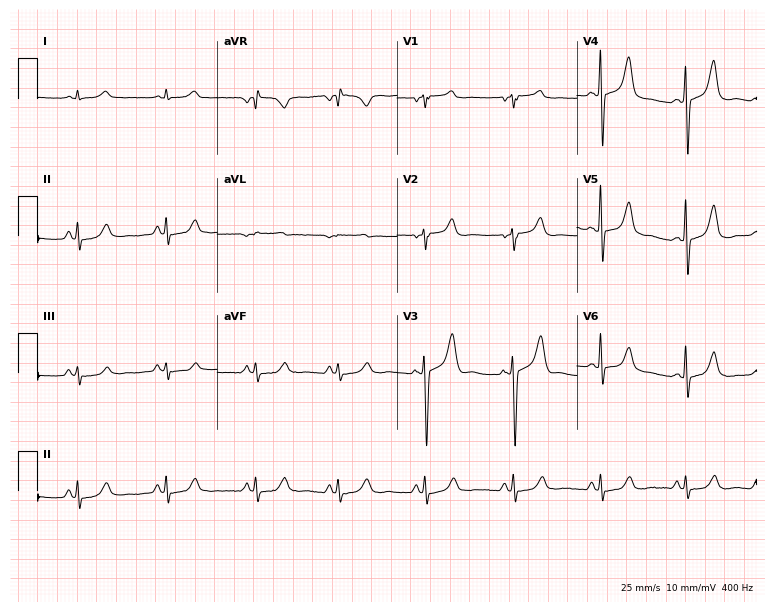
Electrocardiogram (7.3-second recording at 400 Hz), a female, 61 years old. Of the six screened findings (first-degree AV block, right bundle branch block (RBBB), left bundle branch block (LBBB), sinus bradycardia, atrial fibrillation (AF), sinus tachycardia), none is recorded. Findings outside these six are not listed.